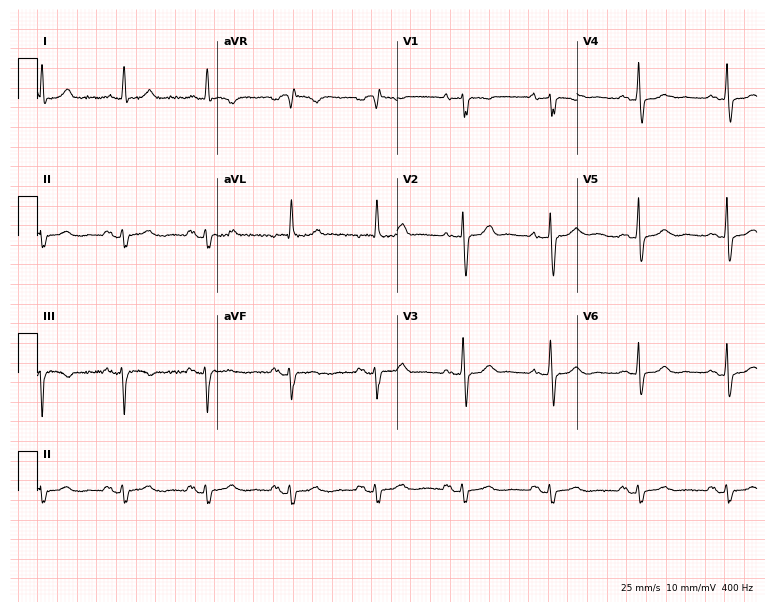
12-lead ECG from a woman, 70 years old (7.3-second recording at 400 Hz). No first-degree AV block, right bundle branch block, left bundle branch block, sinus bradycardia, atrial fibrillation or sinus tachycardia recorded for this tracing. Findings outside these six are not listed.